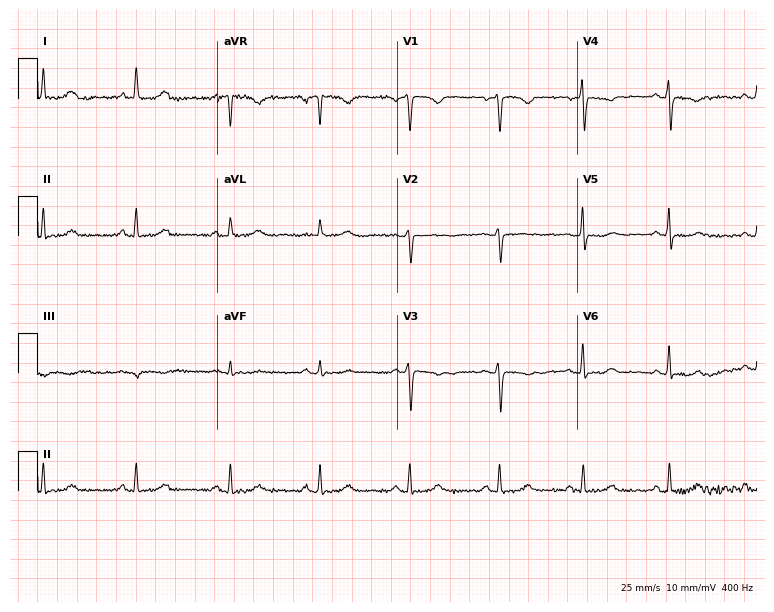
Standard 12-lead ECG recorded from a female patient, 57 years old (7.3-second recording at 400 Hz). None of these six findings is recorded: first-degree AV block, right bundle branch block (RBBB), left bundle branch block (LBBB), sinus bradycardia, atrial fibrillation (AF), sinus tachycardia.